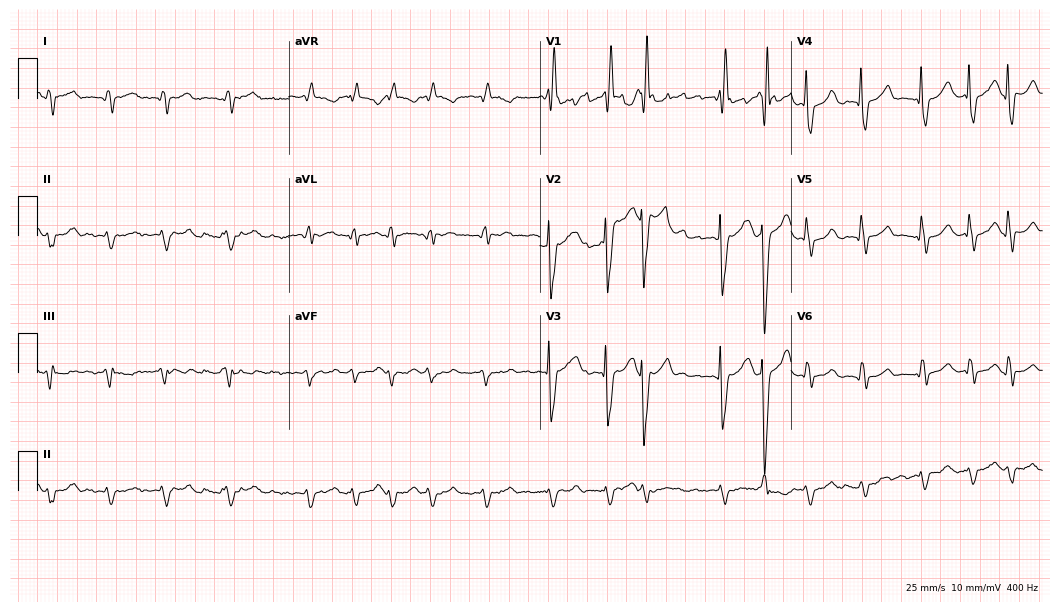
Standard 12-lead ECG recorded from a male patient, 72 years old. The tracing shows right bundle branch block (RBBB).